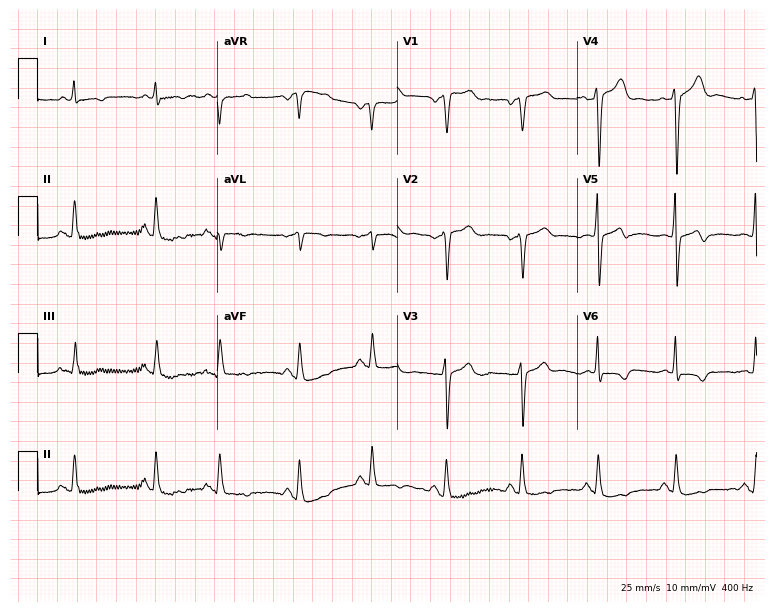
Standard 12-lead ECG recorded from a male, 72 years old. Read as a normal ECG.